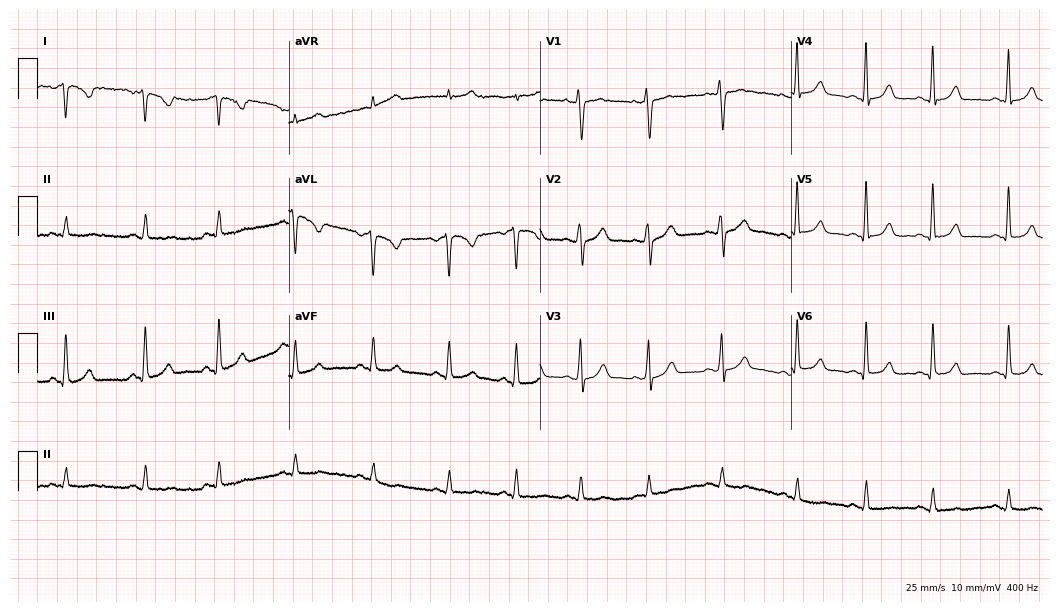
Resting 12-lead electrocardiogram (10.2-second recording at 400 Hz). Patient: a female, 26 years old. None of these six findings is recorded: first-degree AV block, right bundle branch block, left bundle branch block, sinus bradycardia, atrial fibrillation, sinus tachycardia.